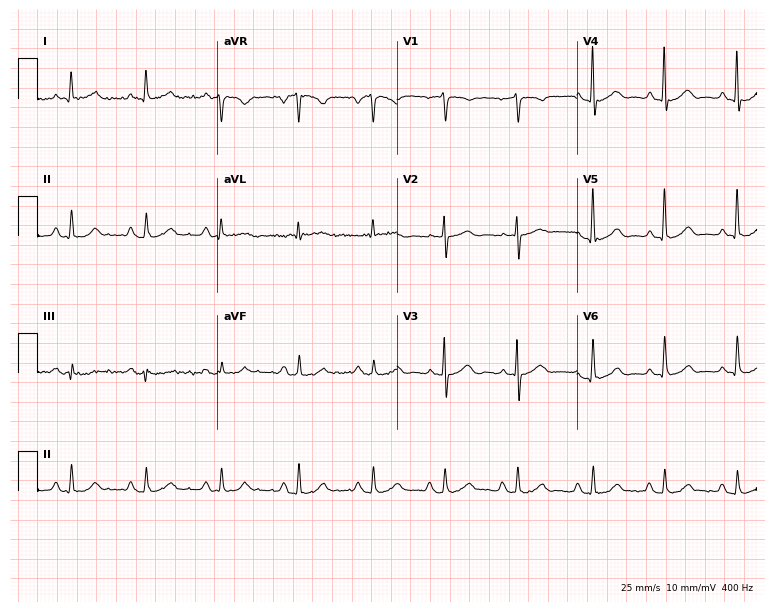
12-lead ECG (7.3-second recording at 400 Hz) from a man, 66 years old. Screened for six findings — first-degree AV block, right bundle branch block, left bundle branch block, sinus bradycardia, atrial fibrillation, sinus tachycardia — none is recorded.